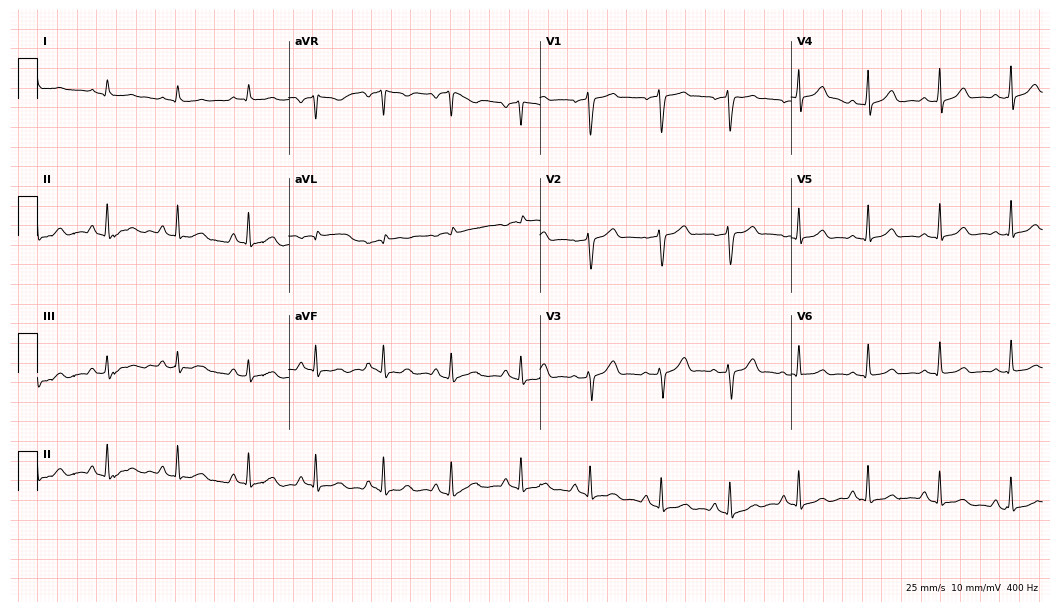
12-lead ECG from a 48-year-old male (10.2-second recording at 400 Hz). Recorded interpretation: within normal limits.